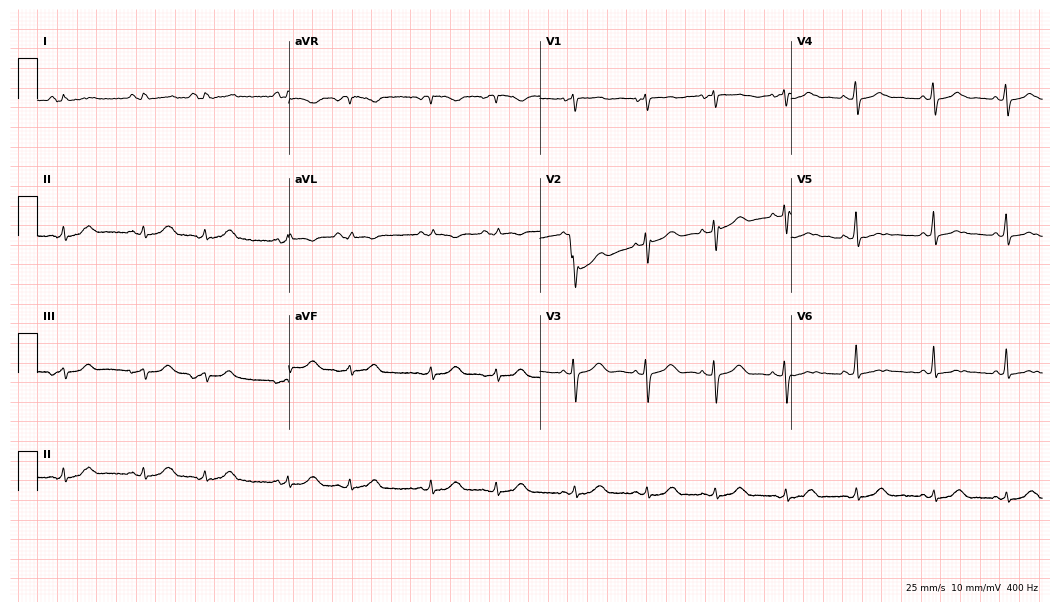
Electrocardiogram, a female patient, 50 years old. Overall reading on record: normal ECG.